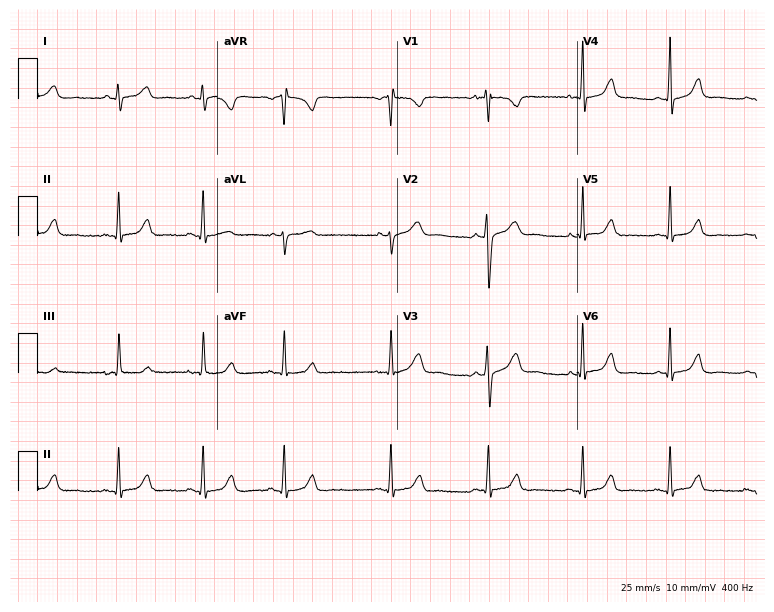
Standard 12-lead ECG recorded from a 23-year-old female (7.3-second recording at 400 Hz). Read as a normal ECG.